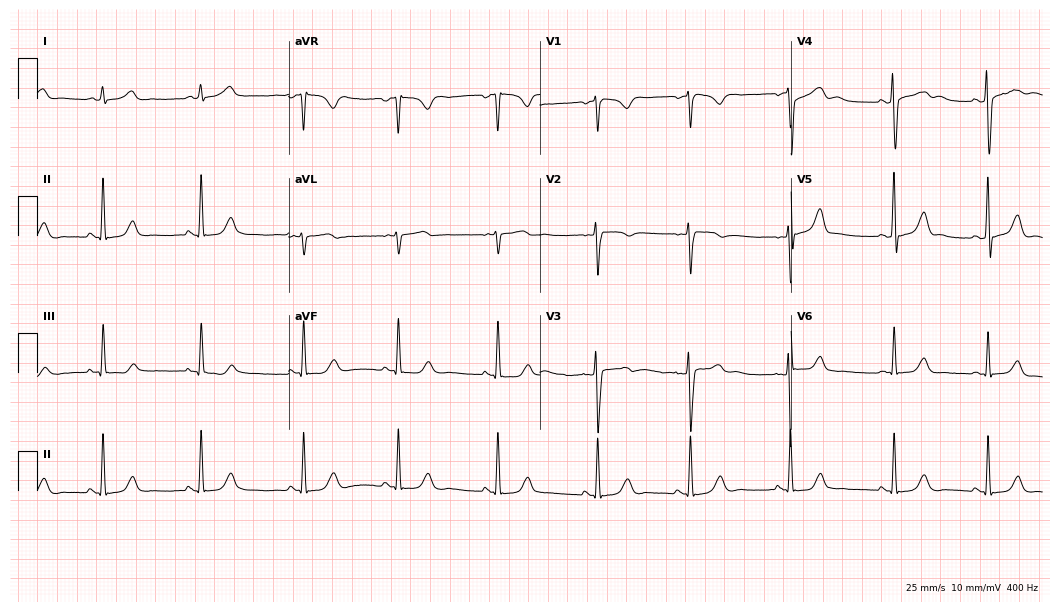
12-lead ECG from a 50-year-old female. No first-degree AV block, right bundle branch block, left bundle branch block, sinus bradycardia, atrial fibrillation or sinus tachycardia recorded for this tracing. Findings outside these six are not listed.